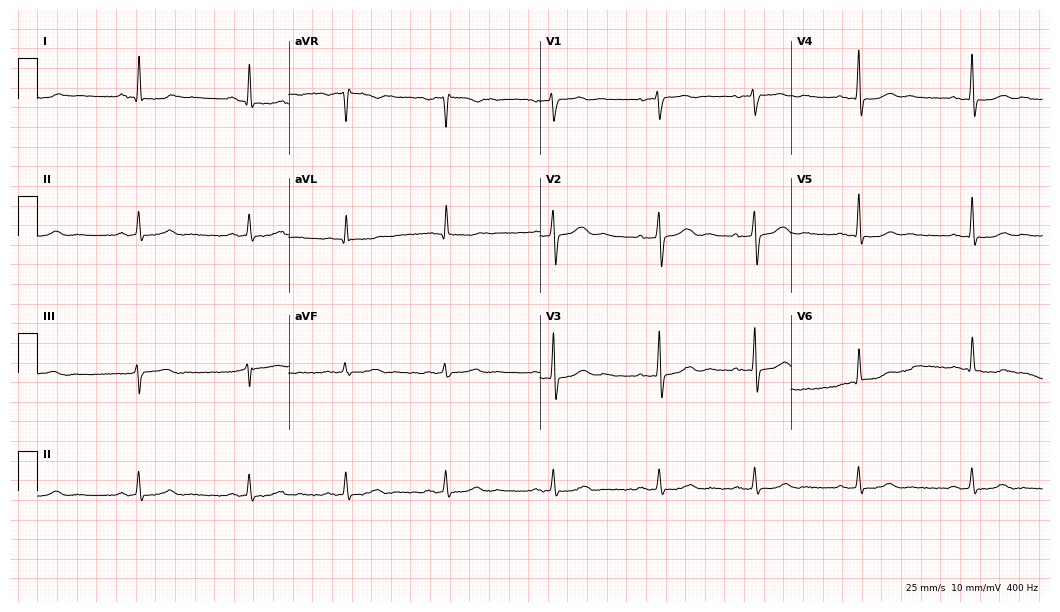
Electrocardiogram, a 52-year-old female patient. Overall reading on record: normal ECG.